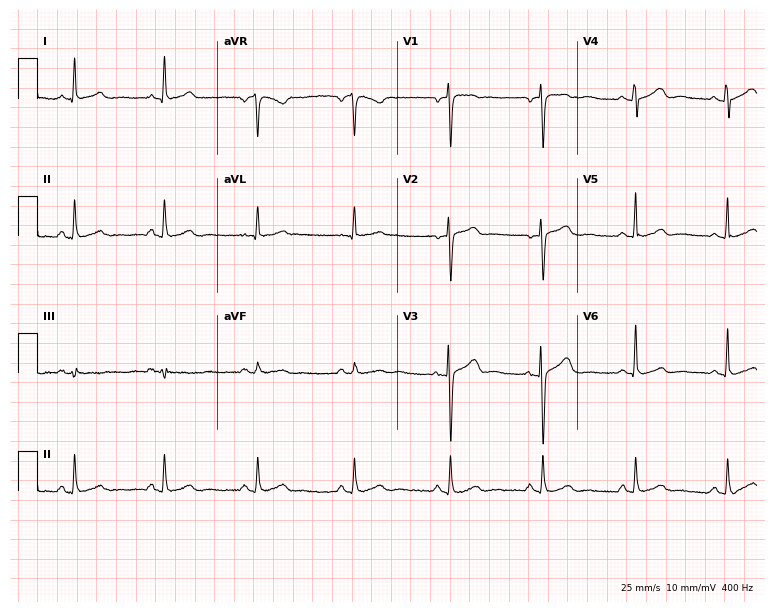
12-lead ECG from a 55-year-old female (7.3-second recording at 400 Hz). Recorded interpretation: within normal limits.